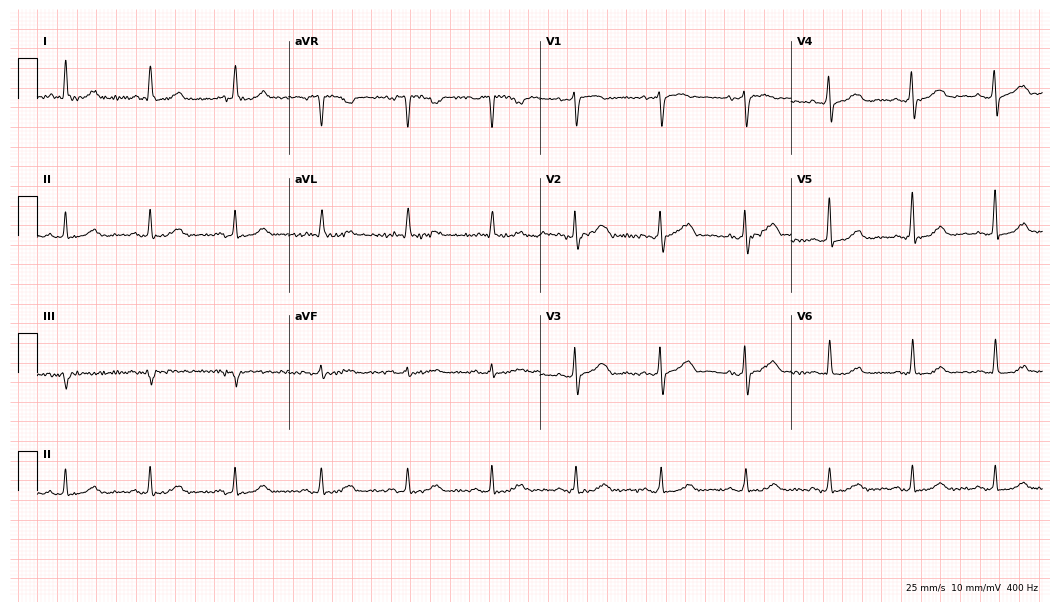
Resting 12-lead electrocardiogram. Patient: a 53-year-old female. Read as a normal ECG.